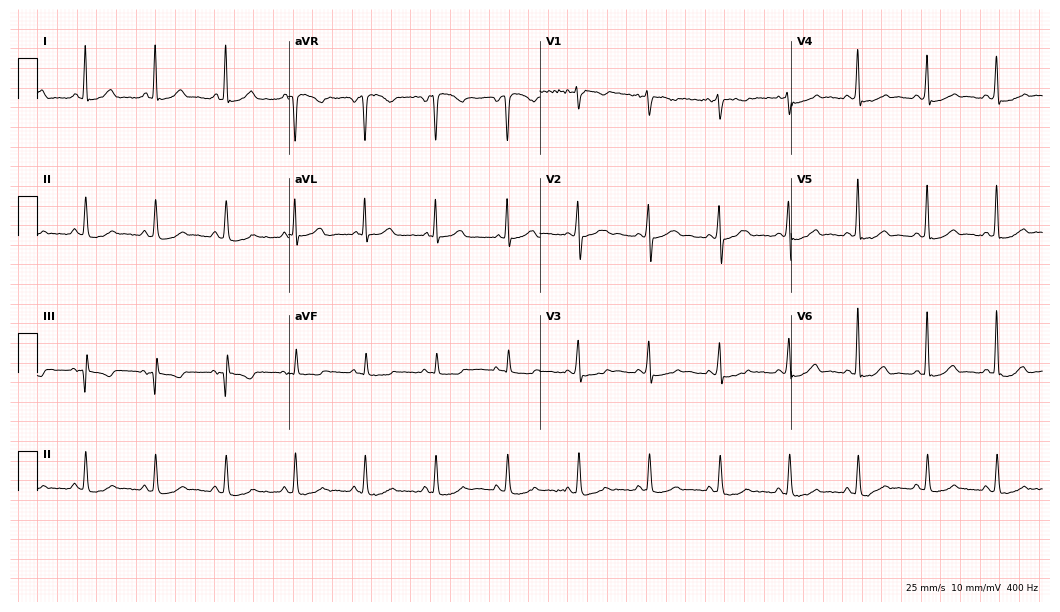
12-lead ECG from a 53-year-old female patient. Screened for six findings — first-degree AV block, right bundle branch block (RBBB), left bundle branch block (LBBB), sinus bradycardia, atrial fibrillation (AF), sinus tachycardia — none is recorded. Other findings, if any, are not listed.